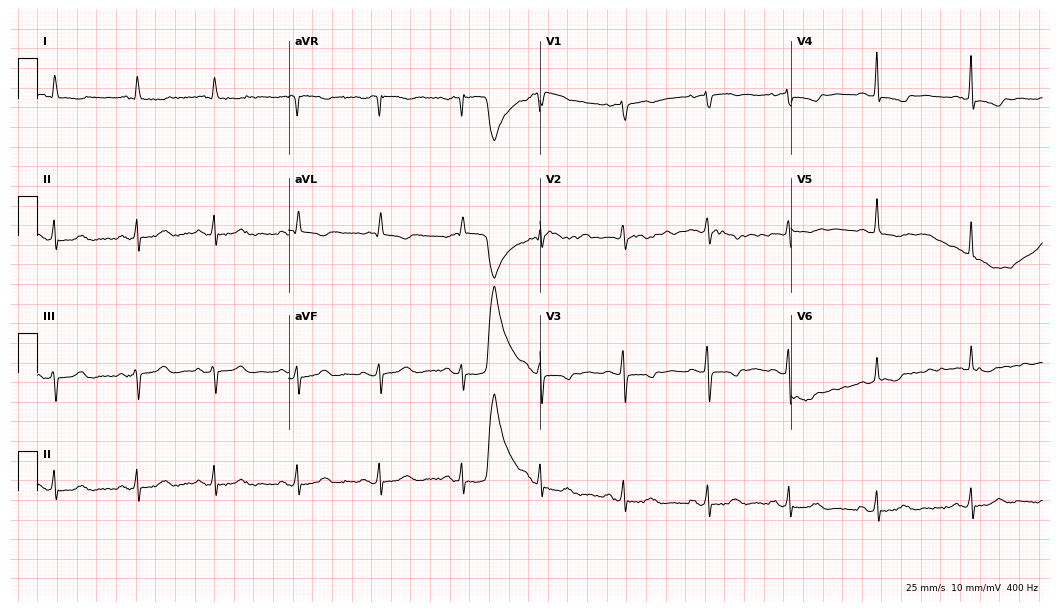
Electrocardiogram, a 77-year-old female. Of the six screened findings (first-degree AV block, right bundle branch block (RBBB), left bundle branch block (LBBB), sinus bradycardia, atrial fibrillation (AF), sinus tachycardia), none is recorded.